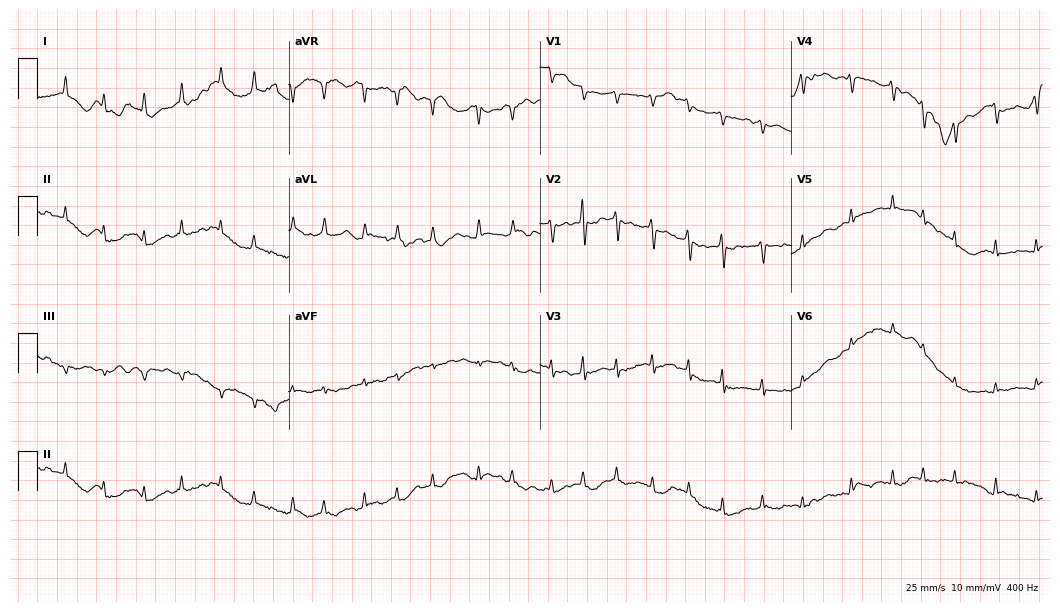
Electrocardiogram (10.2-second recording at 400 Hz), a woman, 47 years old. Of the six screened findings (first-degree AV block, right bundle branch block, left bundle branch block, sinus bradycardia, atrial fibrillation, sinus tachycardia), none is recorded.